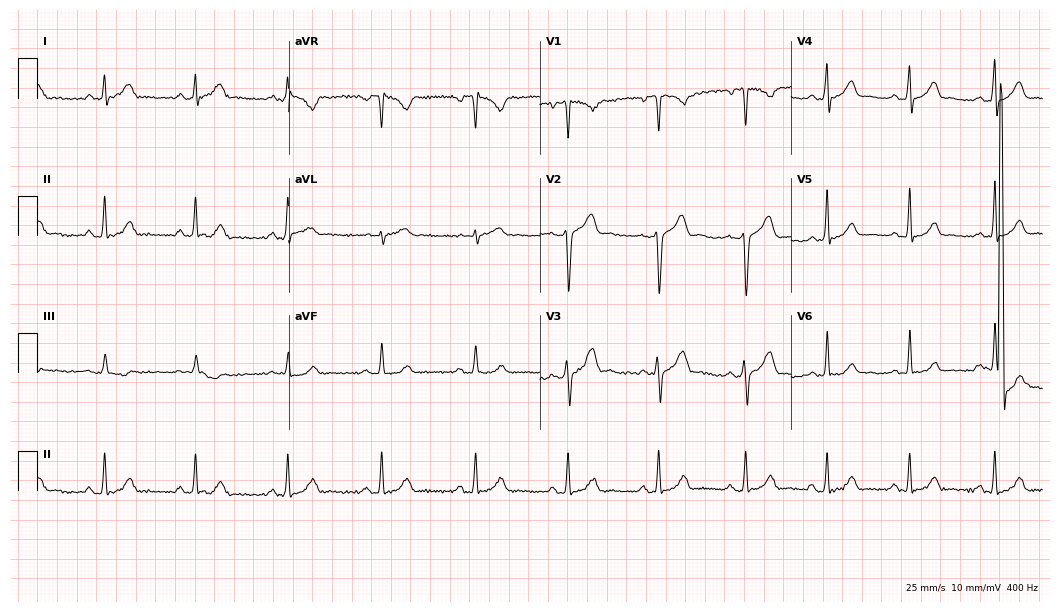
Standard 12-lead ECG recorded from a male patient, 46 years old (10.2-second recording at 400 Hz). Read as a normal ECG.